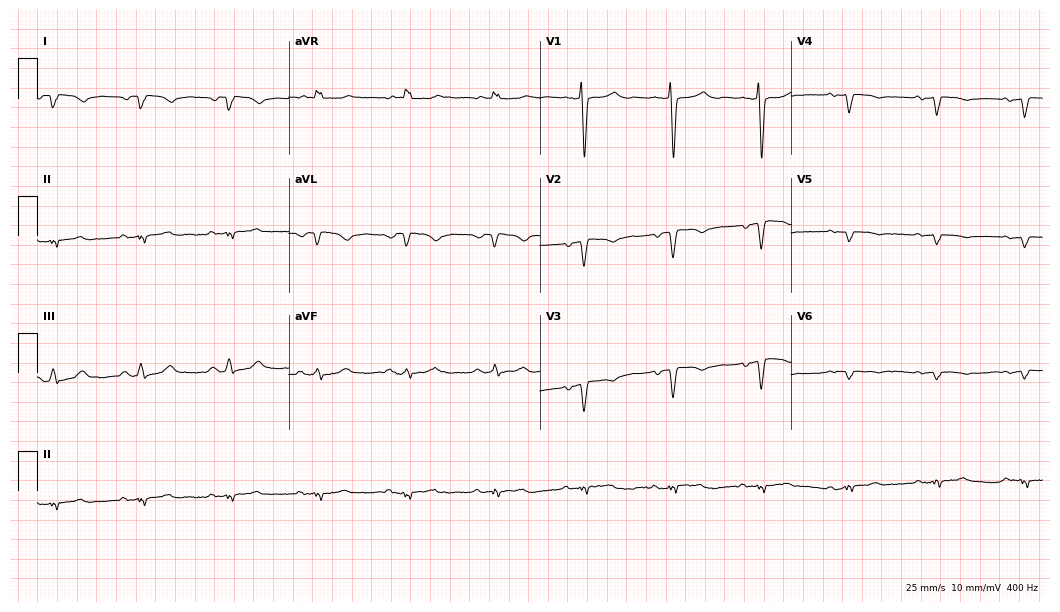
12-lead ECG from a woman, 50 years old. Screened for six findings — first-degree AV block, right bundle branch block (RBBB), left bundle branch block (LBBB), sinus bradycardia, atrial fibrillation (AF), sinus tachycardia — none is recorded.